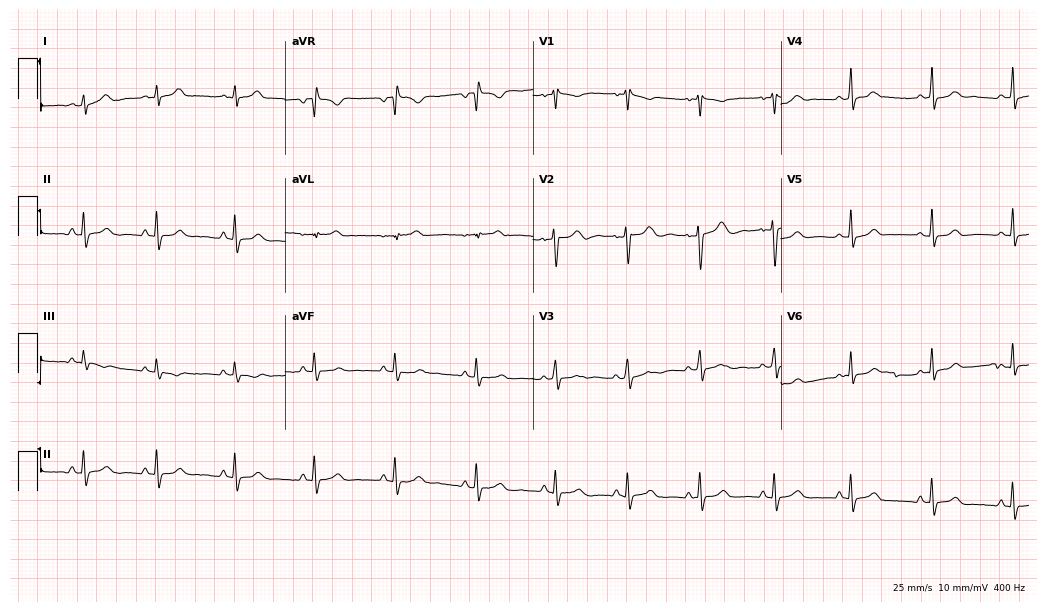
12-lead ECG from a 22-year-old female patient. Recorded interpretation: within normal limits.